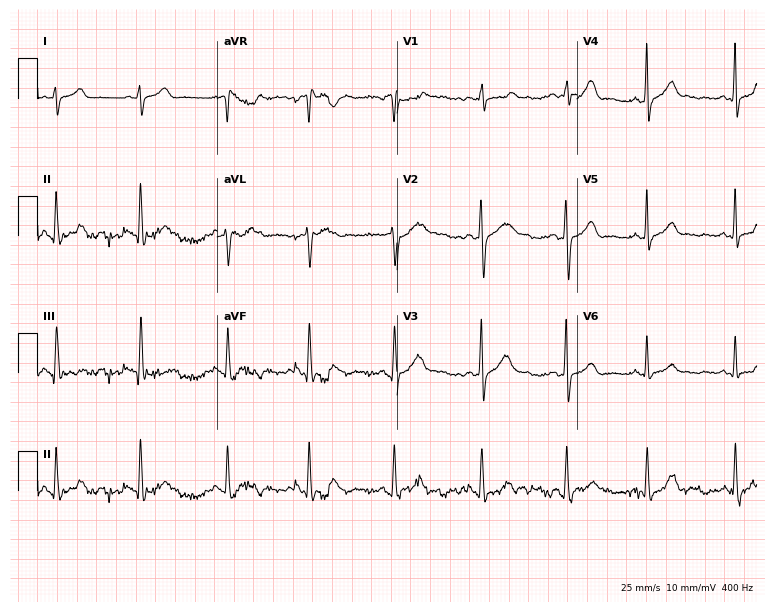
Electrocardiogram (7.3-second recording at 400 Hz), a female, 28 years old. Of the six screened findings (first-degree AV block, right bundle branch block (RBBB), left bundle branch block (LBBB), sinus bradycardia, atrial fibrillation (AF), sinus tachycardia), none is recorded.